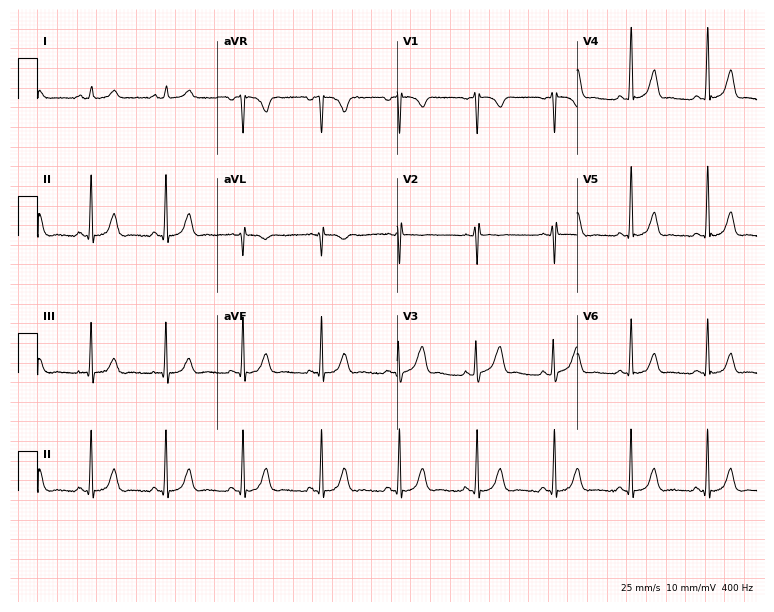
ECG — a woman, 21 years old. Labelled as a normal ECG.